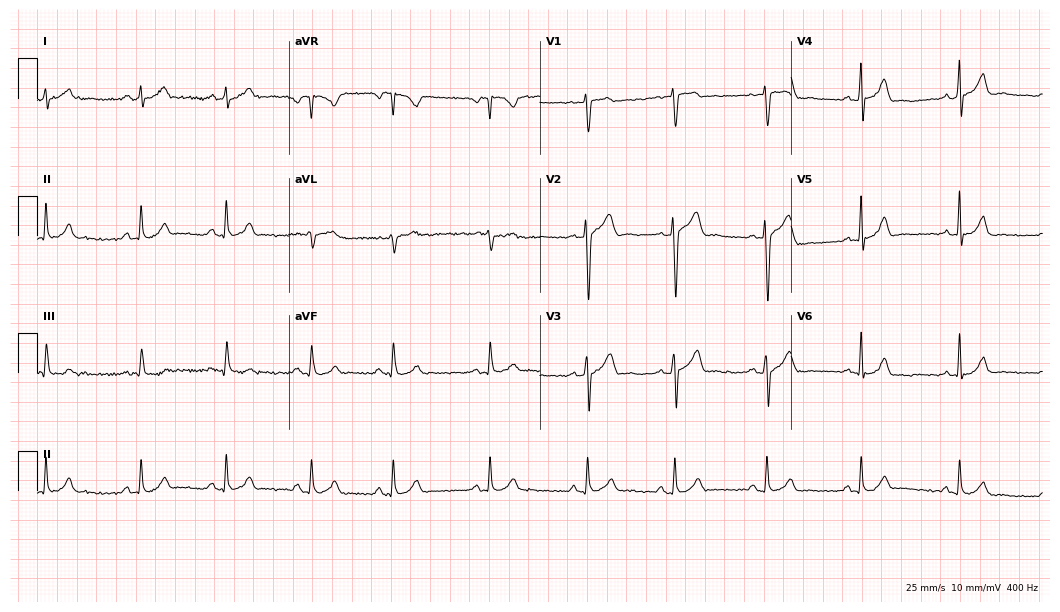
12-lead ECG from a male patient, 29 years old (10.2-second recording at 400 Hz). No first-degree AV block, right bundle branch block (RBBB), left bundle branch block (LBBB), sinus bradycardia, atrial fibrillation (AF) or sinus tachycardia recorded for this tracing.